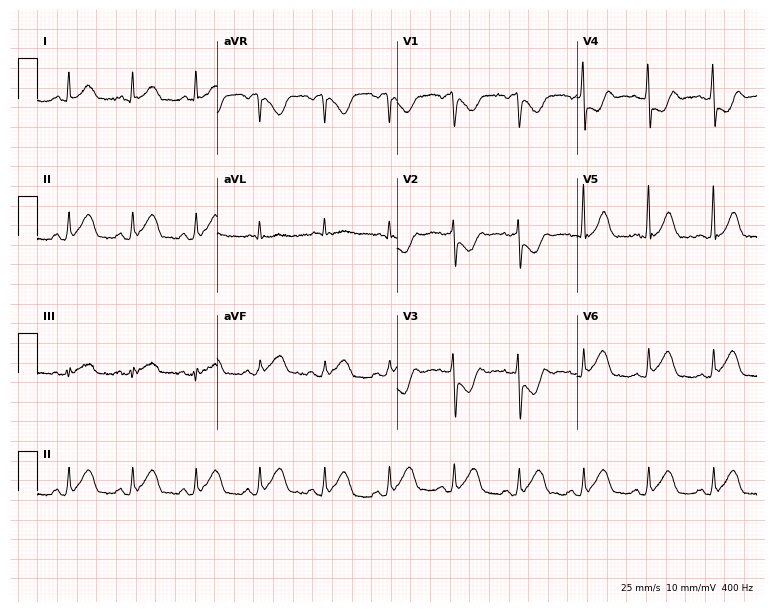
ECG (7.3-second recording at 400 Hz) — a 62-year-old male patient. Screened for six findings — first-degree AV block, right bundle branch block, left bundle branch block, sinus bradycardia, atrial fibrillation, sinus tachycardia — none is recorded.